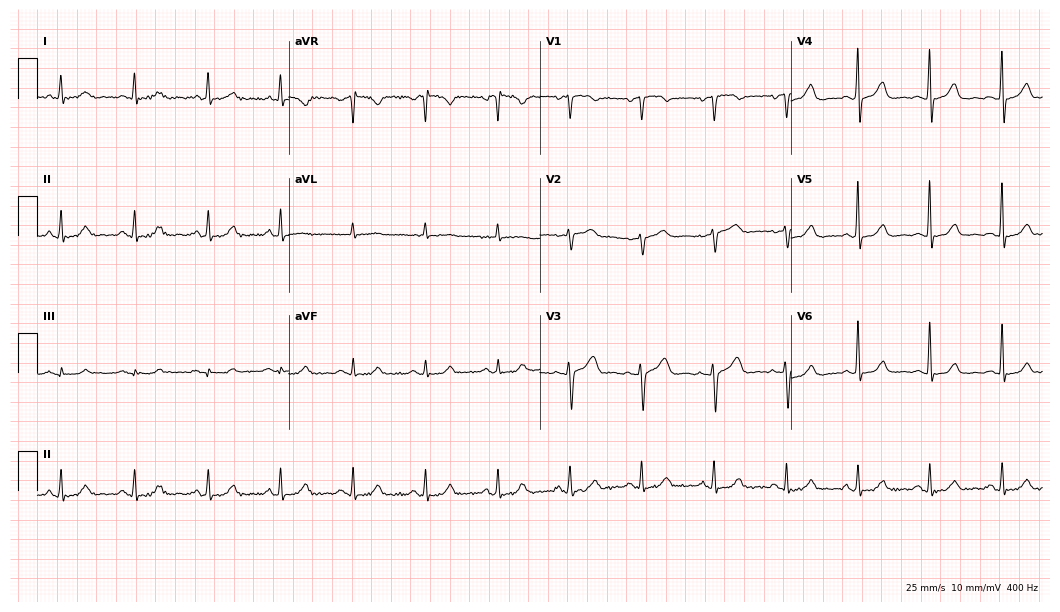
12-lead ECG from a 62-year-old female (10.2-second recording at 400 Hz). Recorded interpretation: within normal limits.